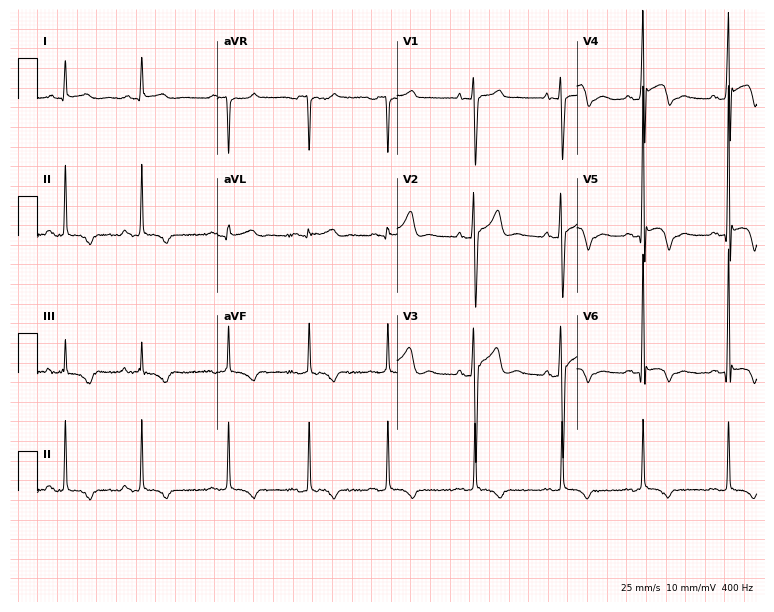
12-lead ECG (7.3-second recording at 400 Hz) from a 21-year-old man. Screened for six findings — first-degree AV block, right bundle branch block (RBBB), left bundle branch block (LBBB), sinus bradycardia, atrial fibrillation (AF), sinus tachycardia — none is recorded.